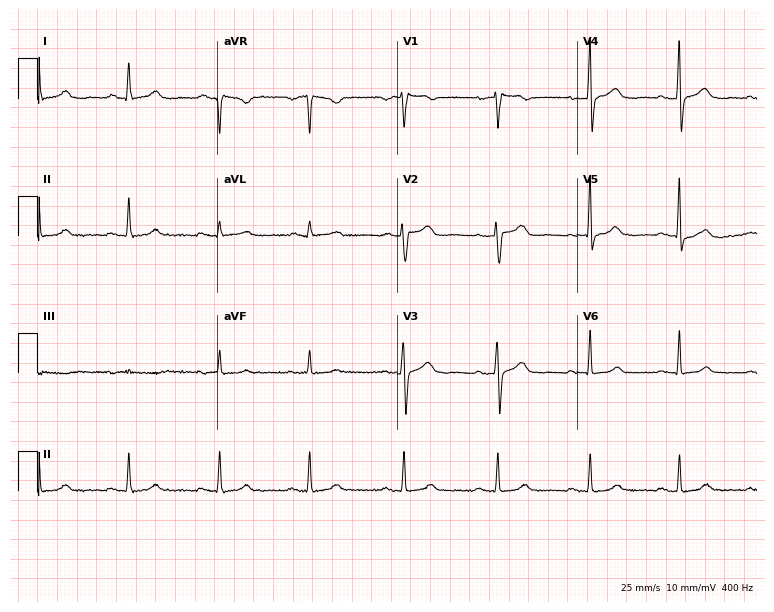
ECG (7.3-second recording at 400 Hz) — a woman, 55 years old. Labelled as a normal ECG.